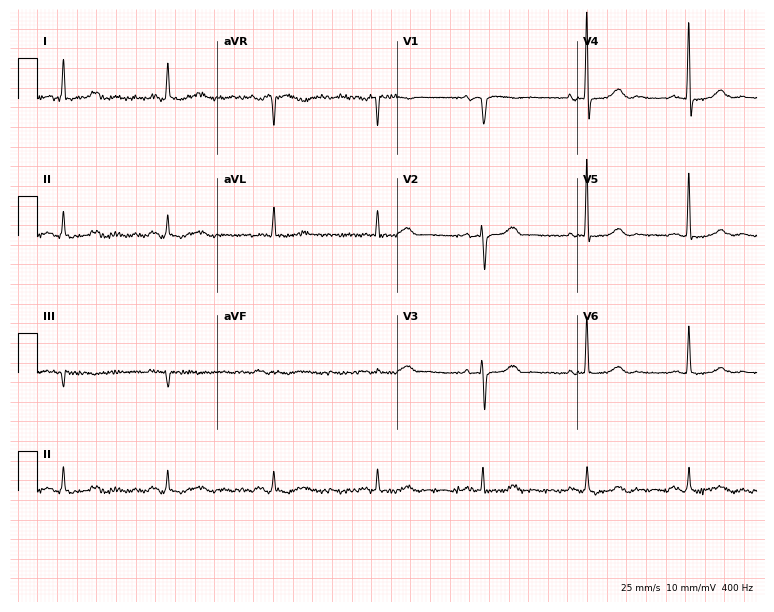
12-lead ECG (7.3-second recording at 400 Hz) from a female patient, 74 years old. Screened for six findings — first-degree AV block, right bundle branch block, left bundle branch block, sinus bradycardia, atrial fibrillation, sinus tachycardia — none is recorded. Only these six findings were labelled.